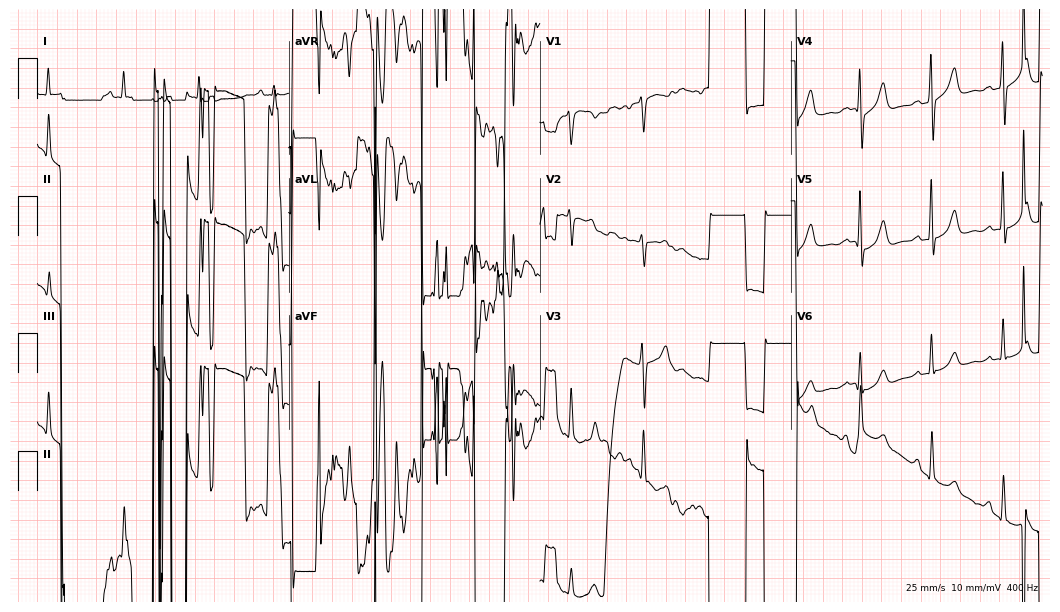
12-lead ECG (10.2-second recording at 400 Hz) from a 48-year-old male. Screened for six findings — first-degree AV block, right bundle branch block (RBBB), left bundle branch block (LBBB), sinus bradycardia, atrial fibrillation (AF), sinus tachycardia — none is recorded.